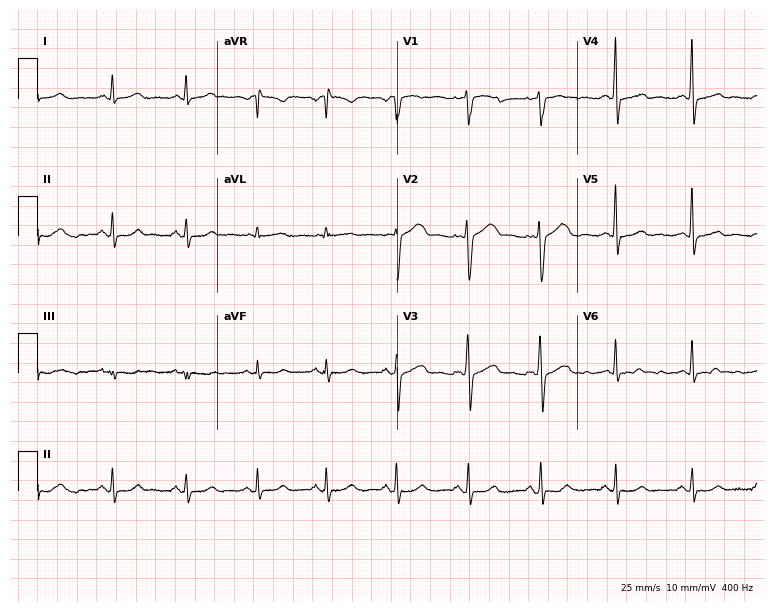
ECG (7.3-second recording at 400 Hz) — a female patient, 40 years old. Labelled as a normal ECG.